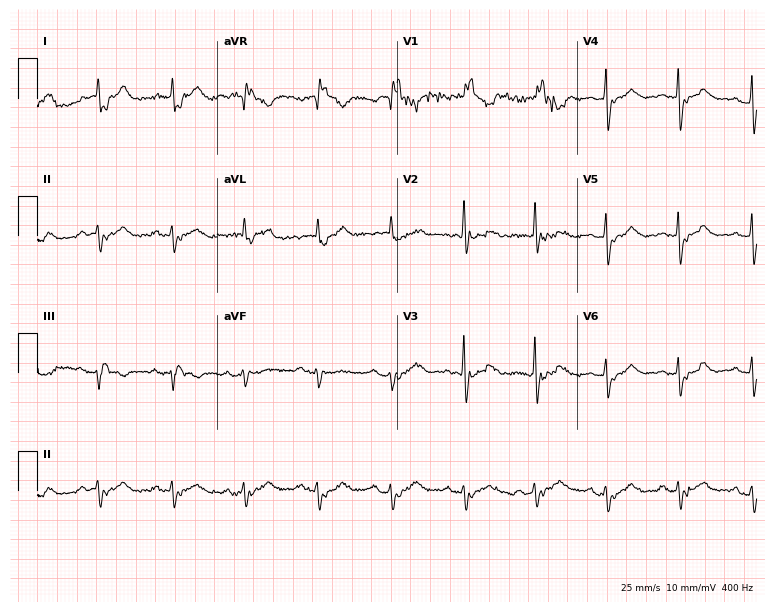
Standard 12-lead ECG recorded from a 73-year-old female. The tracing shows first-degree AV block, right bundle branch block.